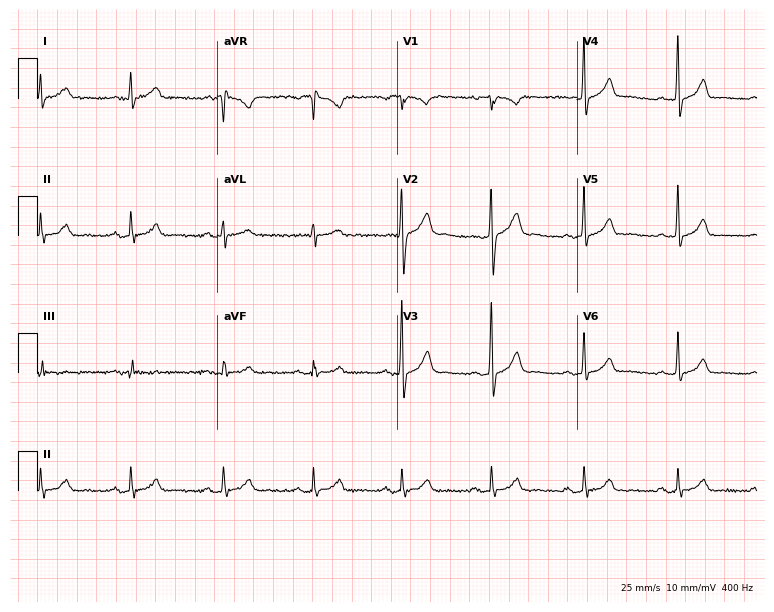
Resting 12-lead electrocardiogram (7.3-second recording at 400 Hz). Patient: a 34-year-old man. None of these six findings is recorded: first-degree AV block, right bundle branch block, left bundle branch block, sinus bradycardia, atrial fibrillation, sinus tachycardia.